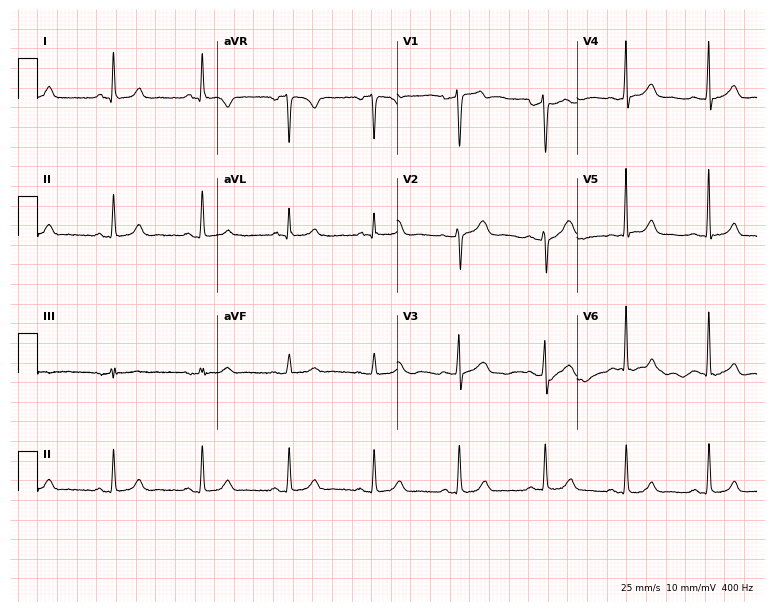
Electrocardiogram, a female, 28 years old. Overall reading on record: normal ECG.